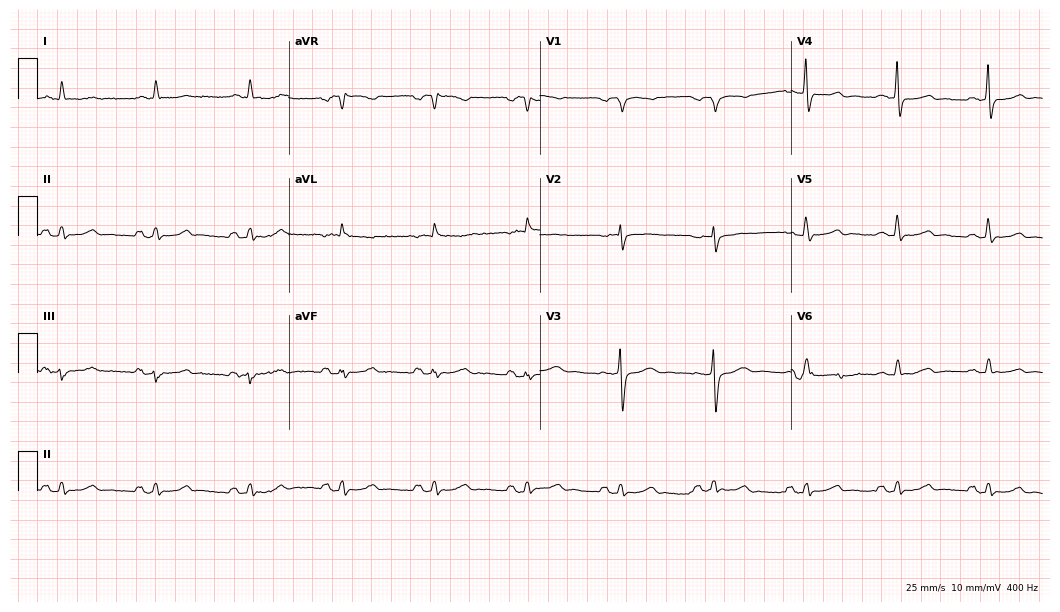
Standard 12-lead ECG recorded from a man, 82 years old (10.2-second recording at 400 Hz). None of these six findings is recorded: first-degree AV block, right bundle branch block, left bundle branch block, sinus bradycardia, atrial fibrillation, sinus tachycardia.